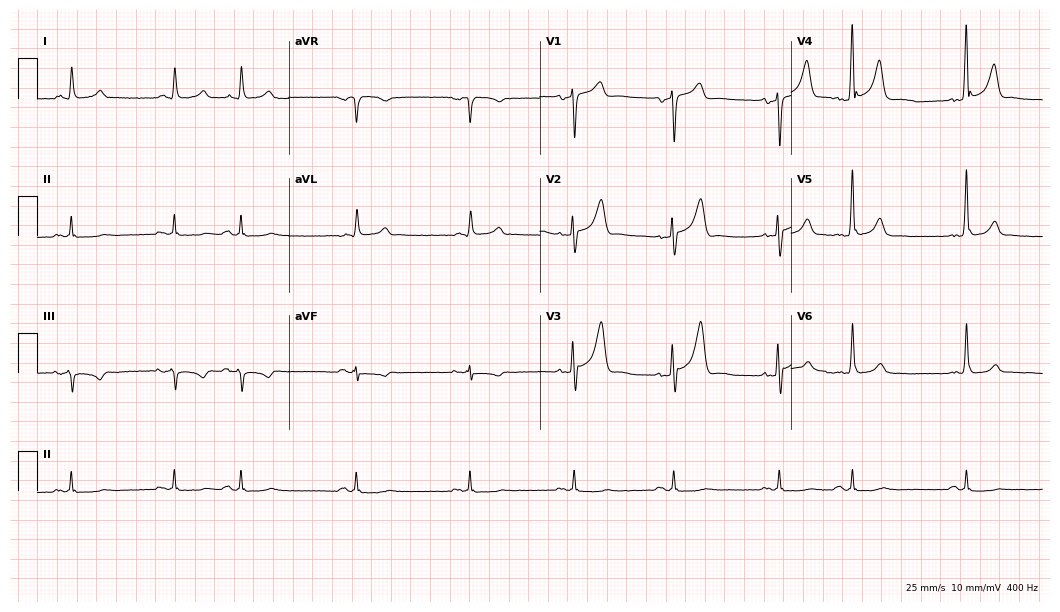
Resting 12-lead electrocardiogram. Patient: a man, 67 years old. Read as a normal ECG.